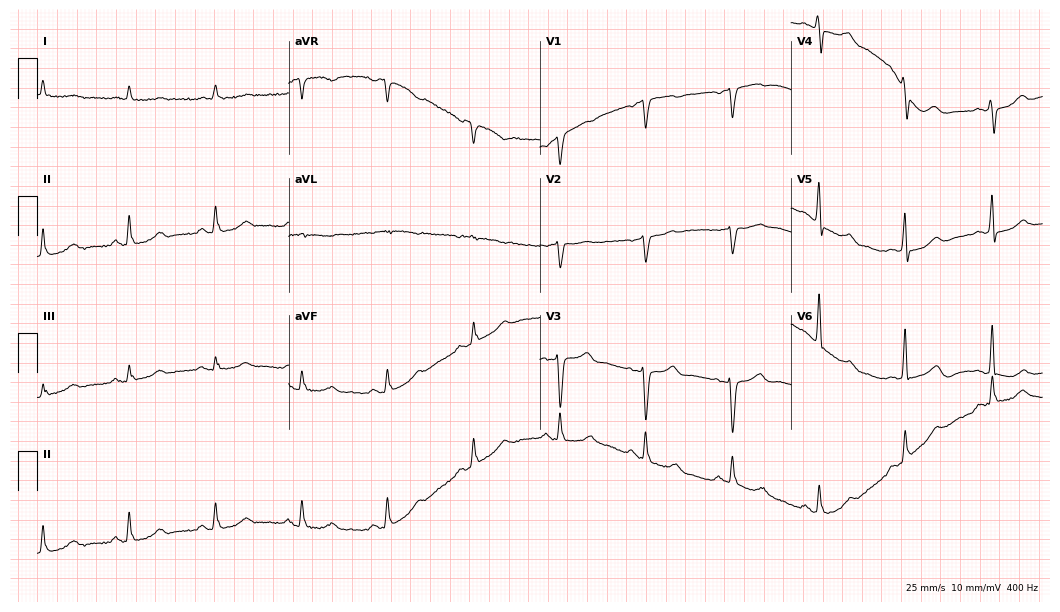
Standard 12-lead ECG recorded from a male, 73 years old. None of these six findings is recorded: first-degree AV block, right bundle branch block, left bundle branch block, sinus bradycardia, atrial fibrillation, sinus tachycardia.